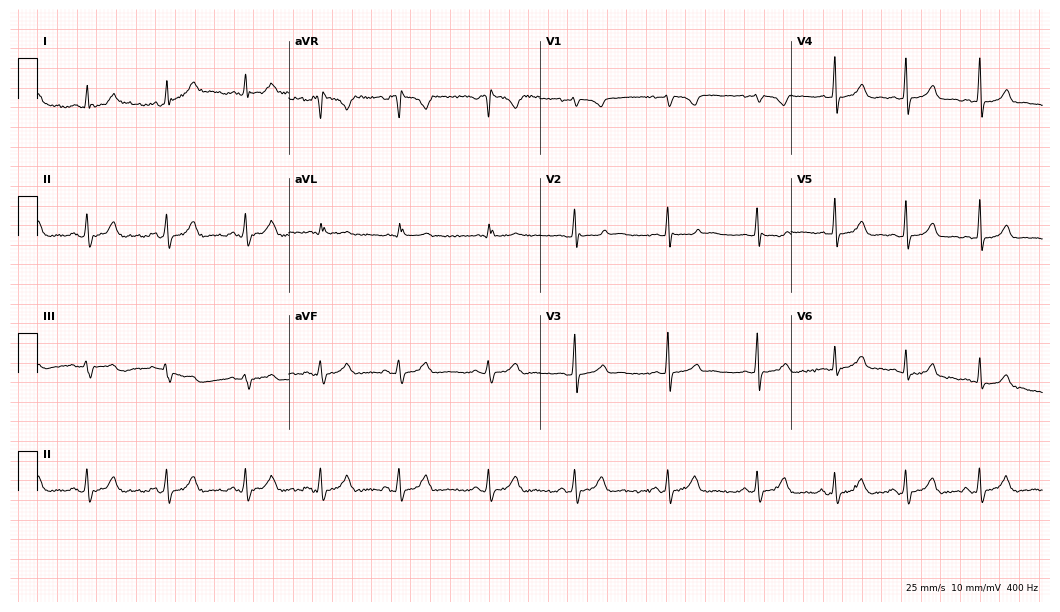
12-lead ECG (10.2-second recording at 400 Hz) from a female patient, 19 years old. Labelled as a normal ECG.